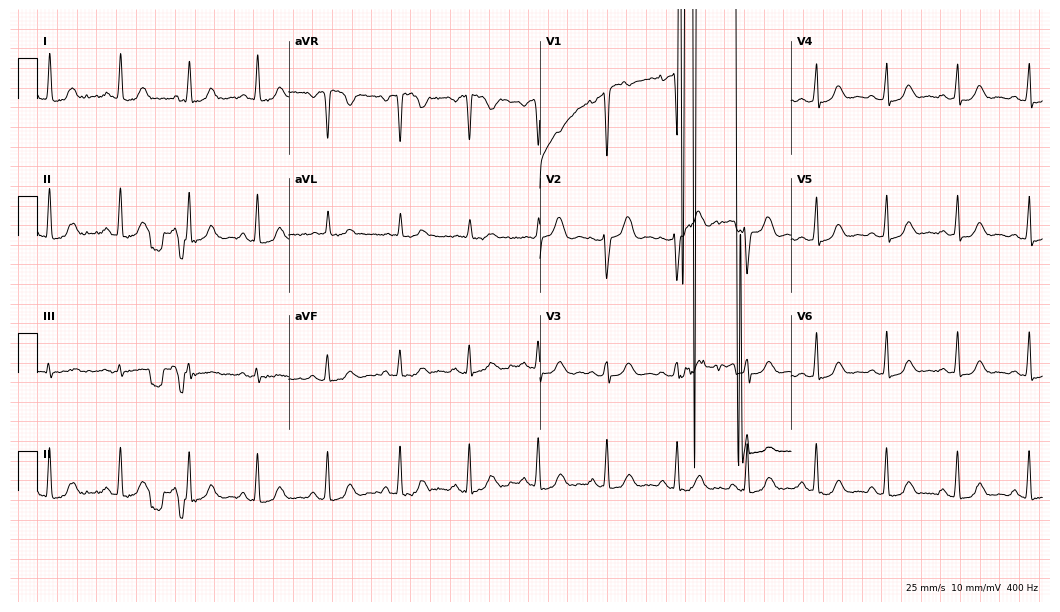
12-lead ECG (10.2-second recording at 400 Hz) from a 50-year-old female. Screened for six findings — first-degree AV block, right bundle branch block, left bundle branch block, sinus bradycardia, atrial fibrillation, sinus tachycardia — none is recorded.